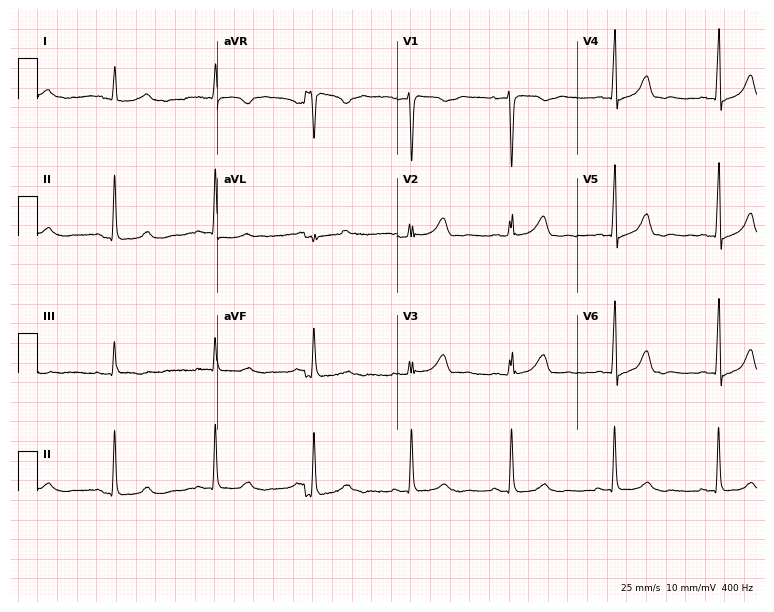
Resting 12-lead electrocardiogram. Patient: a 58-year-old man. None of these six findings is recorded: first-degree AV block, right bundle branch block, left bundle branch block, sinus bradycardia, atrial fibrillation, sinus tachycardia. Findings outside these six are not listed.